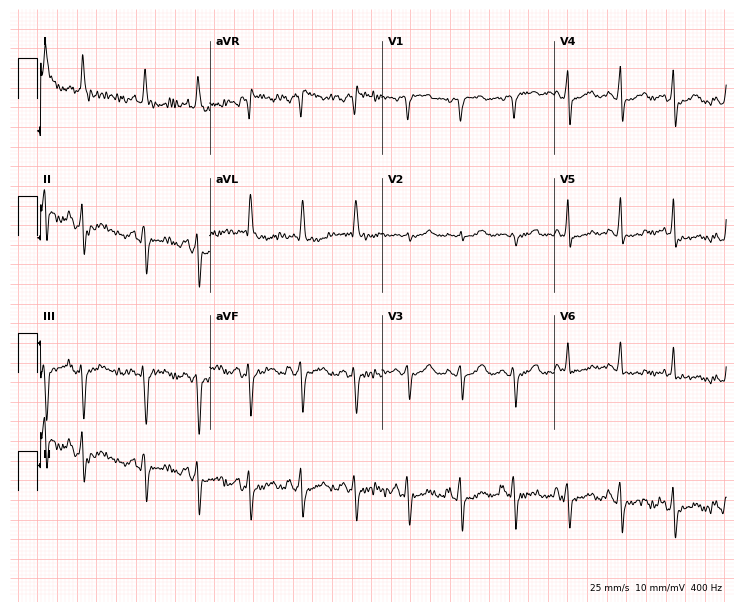
Standard 12-lead ECG recorded from a 77-year-old female patient. None of these six findings is recorded: first-degree AV block, right bundle branch block, left bundle branch block, sinus bradycardia, atrial fibrillation, sinus tachycardia.